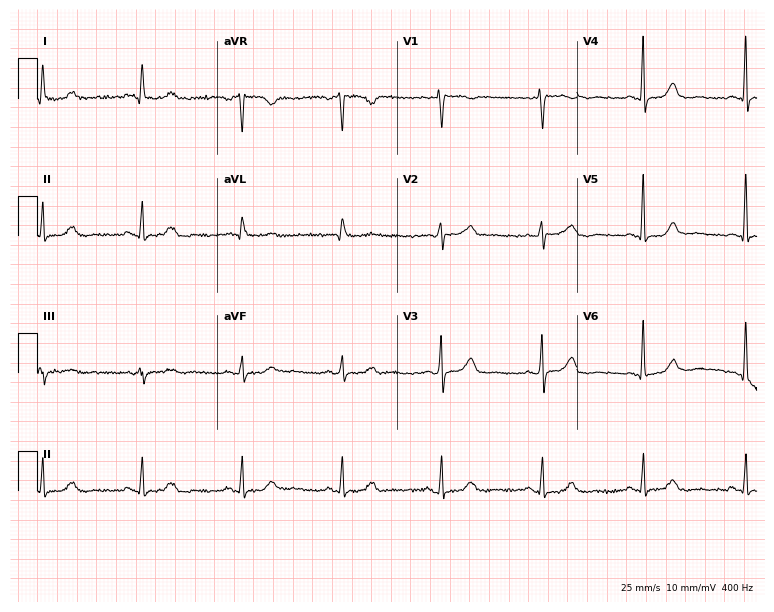
ECG (7.3-second recording at 400 Hz) — a woman, 67 years old. Screened for six findings — first-degree AV block, right bundle branch block, left bundle branch block, sinus bradycardia, atrial fibrillation, sinus tachycardia — none is recorded.